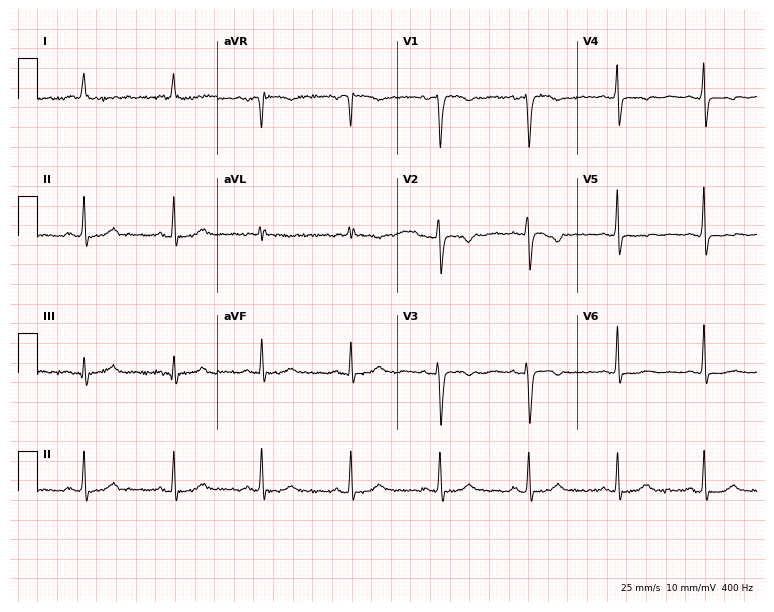
12-lead ECG from a 75-year-old female. No first-degree AV block, right bundle branch block, left bundle branch block, sinus bradycardia, atrial fibrillation or sinus tachycardia recorded for this tracing.